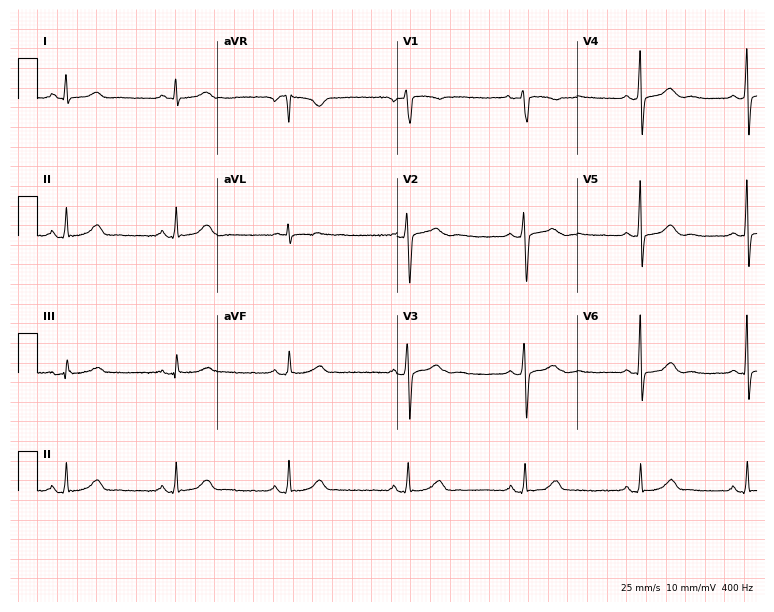
Standard 12-lead ECG recorded from a woman, 27 years old. None of these six findings is recorded: first-degree AV block, right bundle branch block, left bundle branch block, sinus bradycardia, atrial fibrillation, sinus tachycardia. Other findings, if any, are not listed.